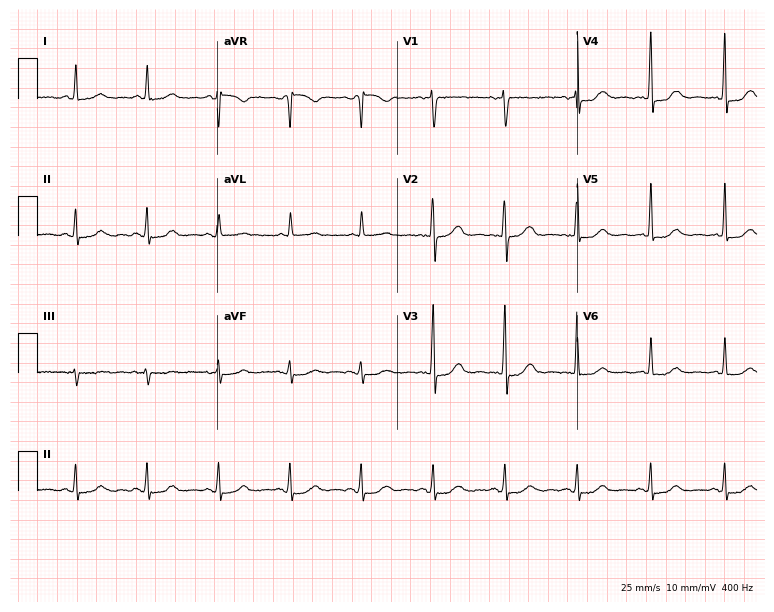
12-lead ECG from a 65-year-old female patient (7.3-second recording at 400 Hz). Recorded interpretation: within normal limits.